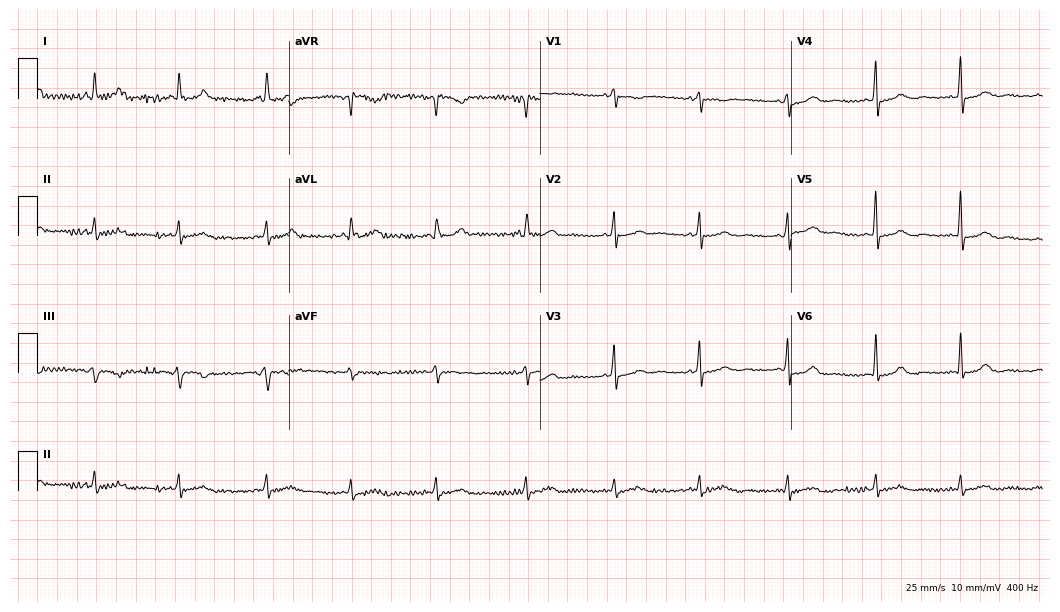
Standard 12-lead ECG recorded from a 66-year-old female. None of these six findings is recorded: first-degree AV block, right bundle branch block, left bundle branch block, sinus bradycardia, atrial fibrillation, sinus tachycardia. Other findings, if any, are not listed.